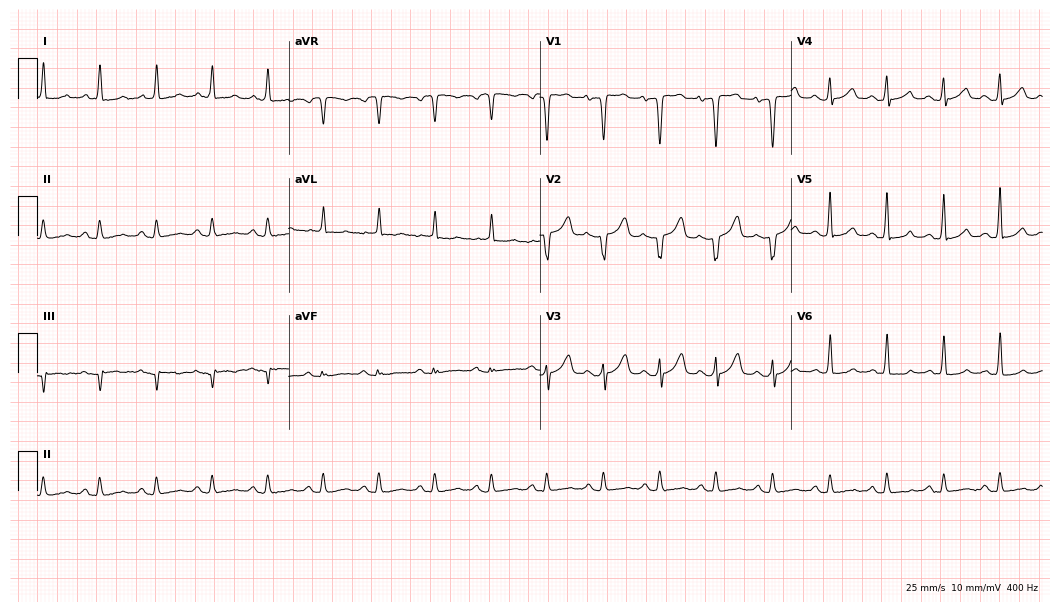
Standard 12-lead ECG recorded from a 65-year-old female patient (10.2-second recording at 400 Hz). The tracing shows sinus tachycardia (a sinus rate of 100 beats per minute or more).